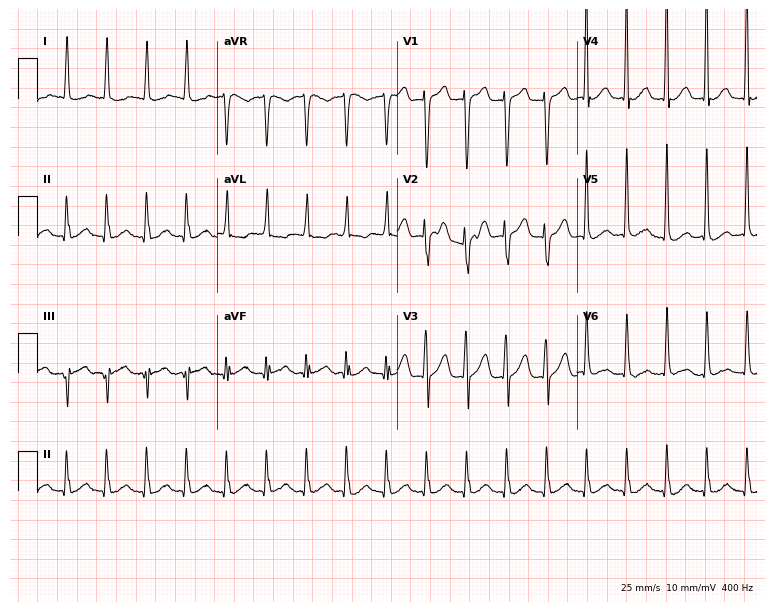
ECG — a female patient, 81 years old. Findings include sinus tachycardia (a sinus rate of 100 beats per minute or more).